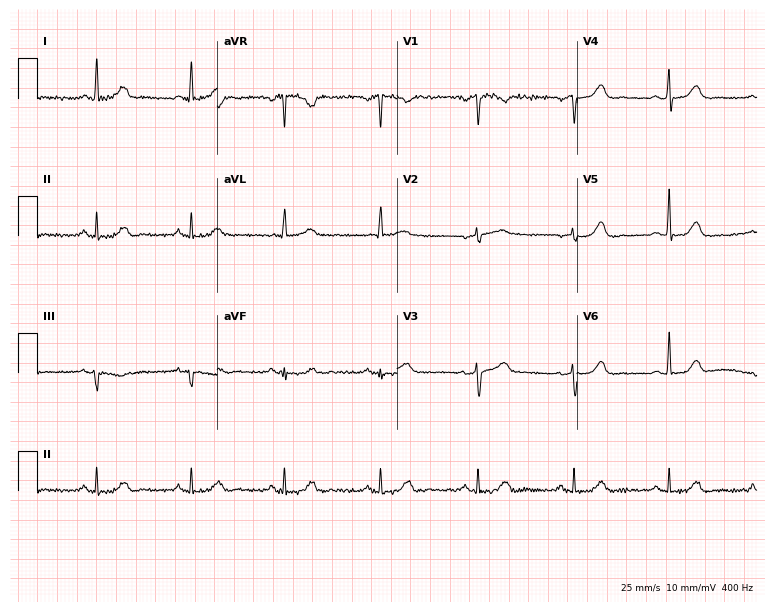
12-lead ECG (7.3-second recording at 400 Hz) from a 54-year-old female patient. Labelled as a normal ECG.